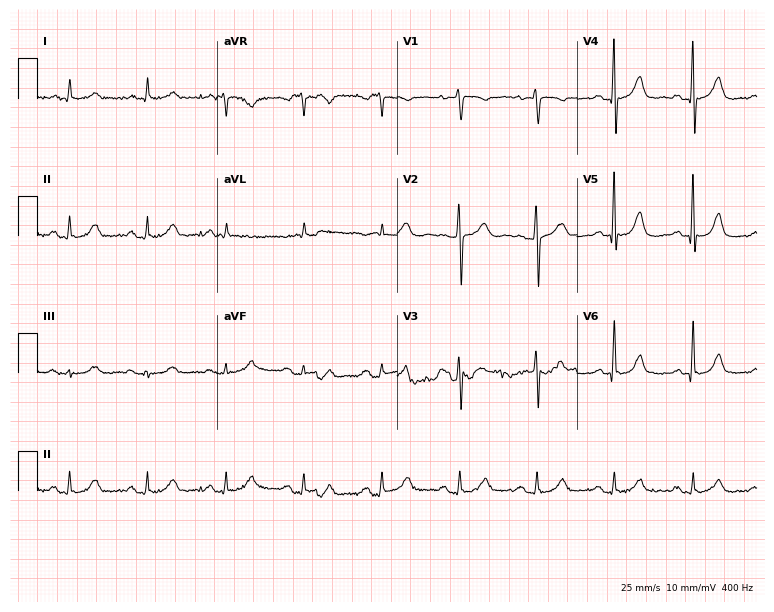
Standard 12-lead ECG recorded from a woman, 85 years old. Read as a normal ECG.